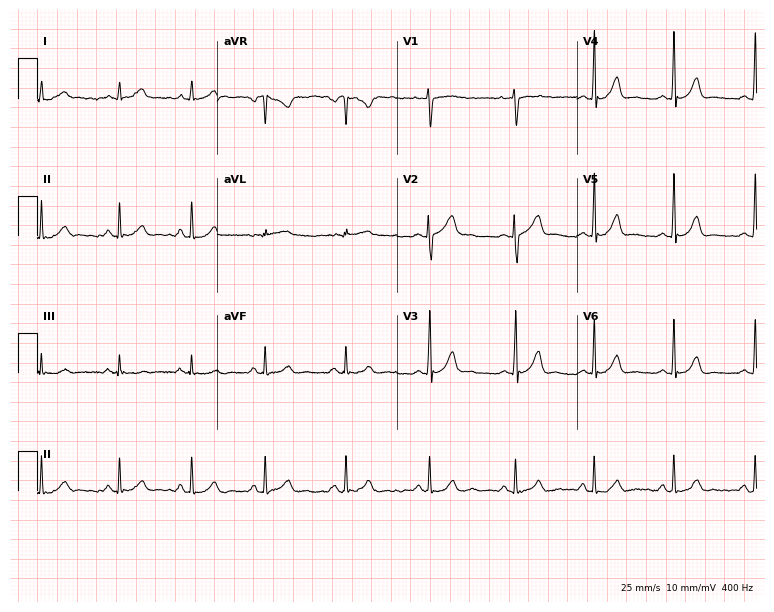
12-lead ECG (7.3-second recording at 400 Hz) from a female, 22 years old. Labelled as a normal ECG.